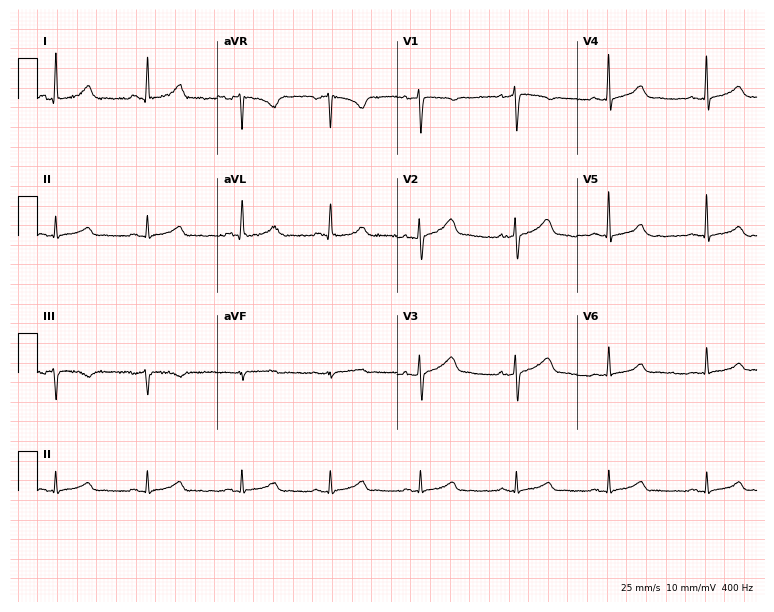
12-lead ECG from a 36-year-old female patient. Labelled as a normal ECG.